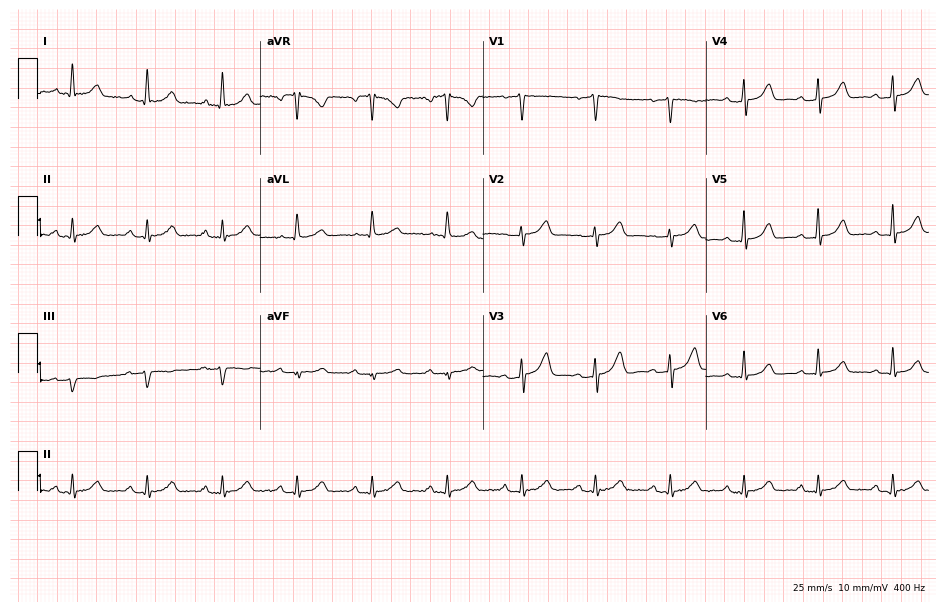
12-lead ECG from a 68-year-old female patient. Recorded interpretation: within normal limits.